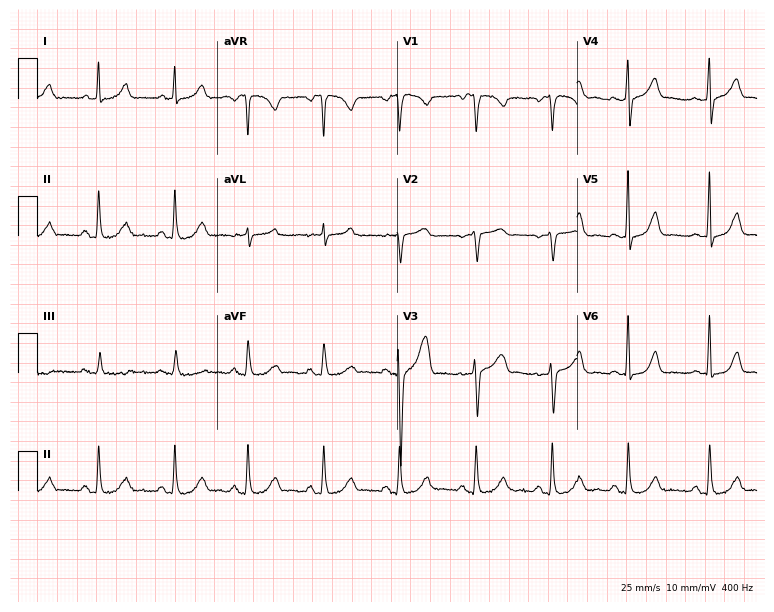
Resting 12-lead electrocardiogram (7.3-second recording at 400 Hz). Patient: a 41-year-old female. Read as a normal ECG.